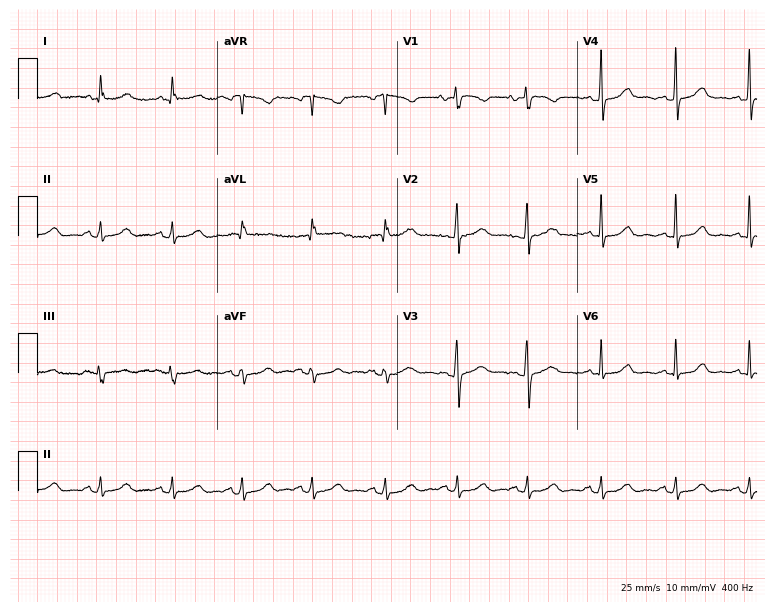
12-lead ECG from a 61-year-old female patient (7.3-second recording at 400 Hz). Recorded interpretation: within normal limits.